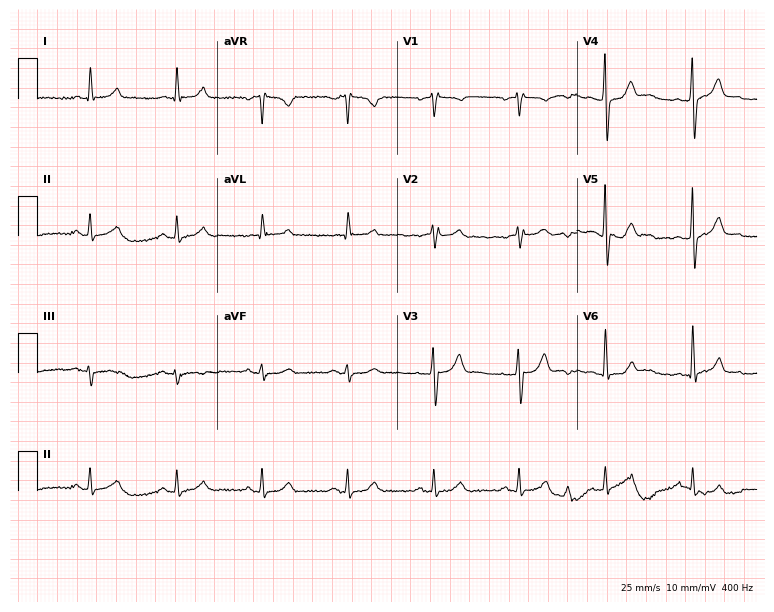
ECG — a male patient, 51 years old. Labelled as a normal ECG.